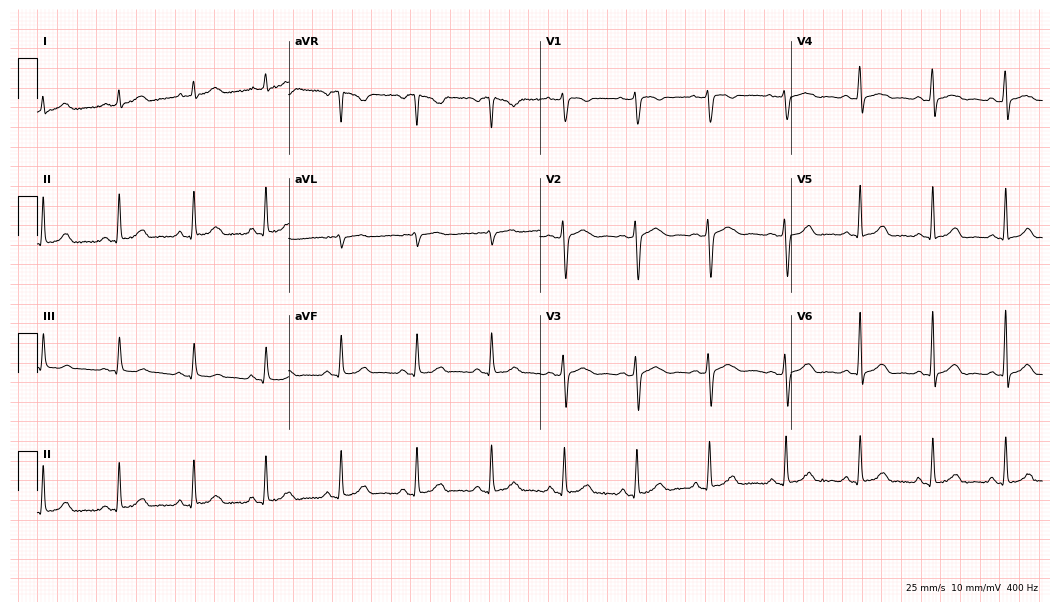
ECG — a female patient, 44 years old. Labelled as a normal ECG.